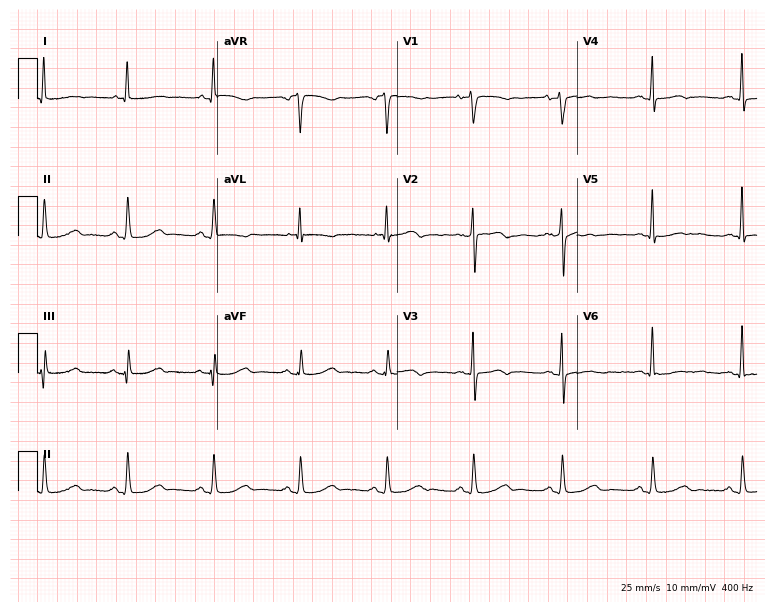
Standard 12-lead ECG recorded from a 56-year-old female patient. Read as a normal ECG.